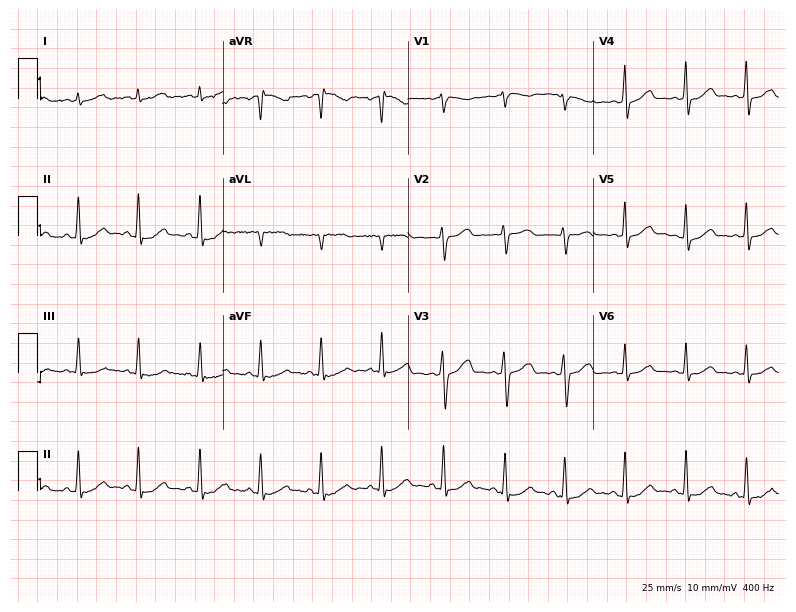
12-lead ECG from a woman, 56 years old. No first-degree AV block, right bundle branch block (RBBB), left bundle branch block (LBBB), sinus bradycardia, atrial fibrillation (AF) or sinus tachycardia recorded for this tracing. Findings outside these six are not listed.